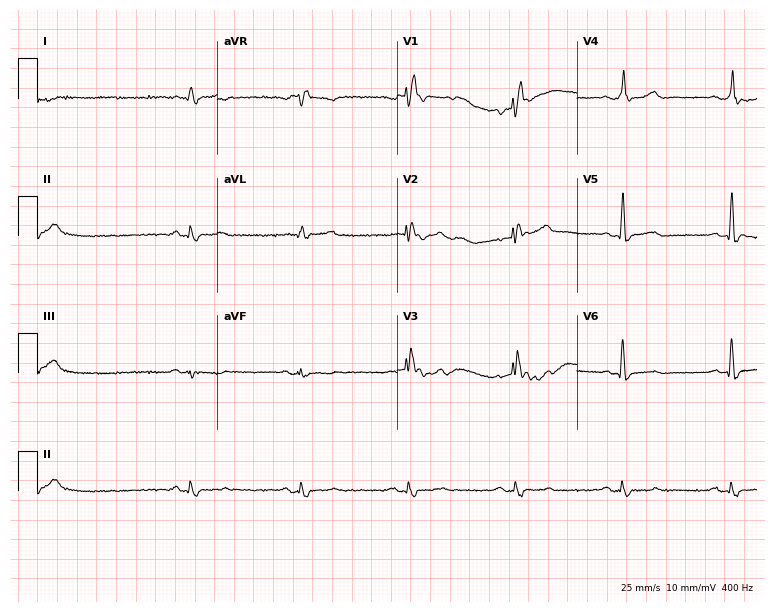
Standard 12-lead ECG recorded from a male, 57 years old (7.3-second recording at 400 Hz). The tracing shows right bundle branch block (RBBB).